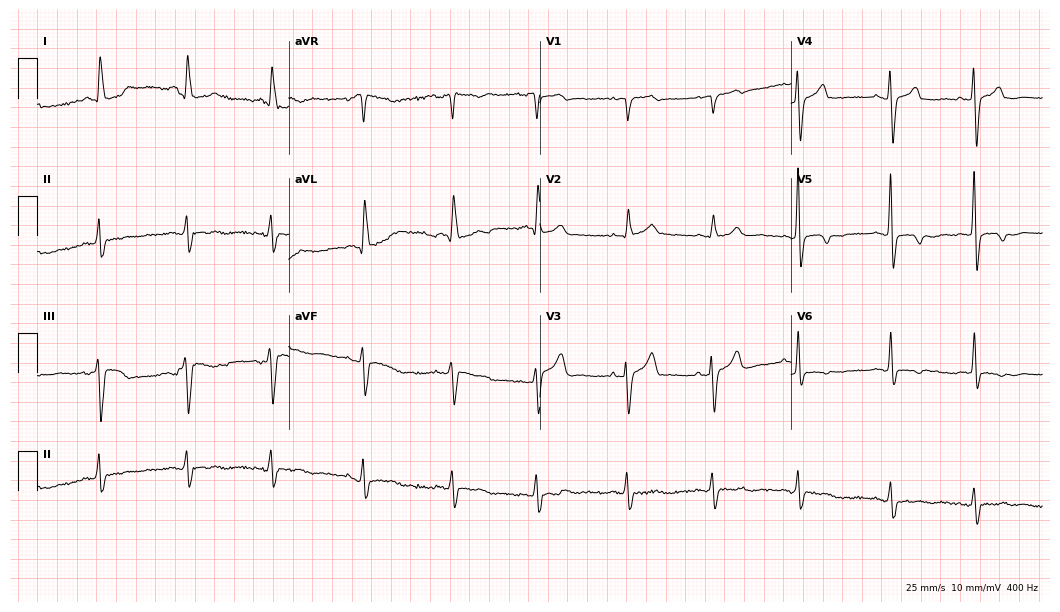
Electrocardiogram (10.2-second recording at 400 Hz), a woman, 78 years old. Of the six screened findings (first-degree AV block, right bundle branch block (RBBB), left bundle branch block (LBBB), sinus bradycardia, atrial fibrillation (AF), sinus tachycardia), none is recorded. Other findings, if any, are not listed.